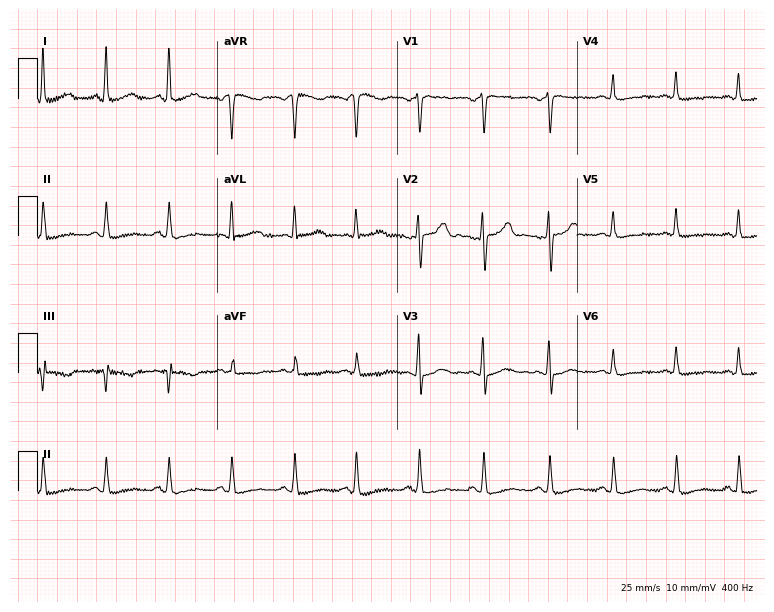
12-lead ECG (7.3-second recording at 400 Hz) from a 40-year-old woman. Screened for six findings — first-degree AV block, right bundle branch block, left bundle branch block, sinus bradycardia, atrial fibrillation, sinus tachycardia — none is recorded. Only these six findings were labelled.